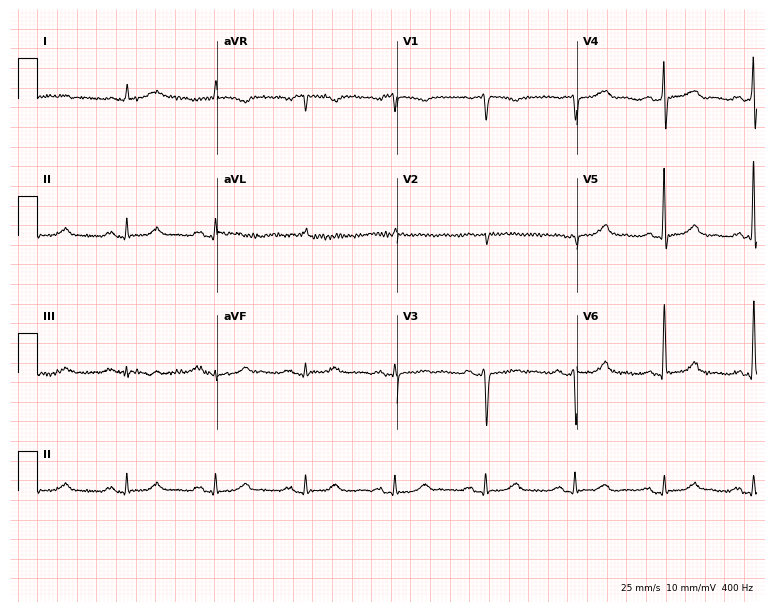
Standard 12-lead ECG recorded from a female, 80 years old. None of these six findings is recorded: first-degree AV block, right bundle branch block (RBBB), left bundle branch block (LBBB), sinus bradycardia, atrial fibrillation (AF), sinus tachycardia. Other findings, if any, are not listed.